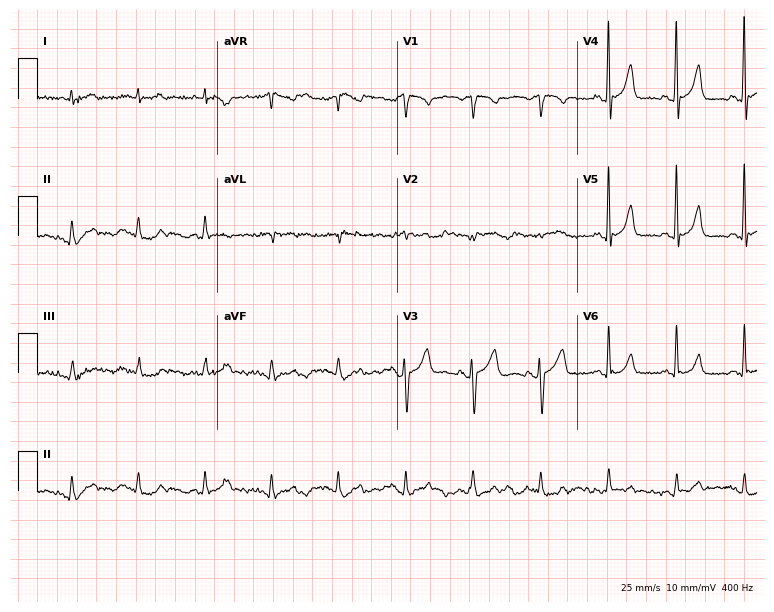
Standard 12-lead ECG recorded from a male, 77 years old. None of these six findings is recorded: first-degree AV block, right bundle branch block, left bundle branch block, sinus bradycardia, atrial fibrillation, sinus tachycardia. Findings outside these six are not listed.